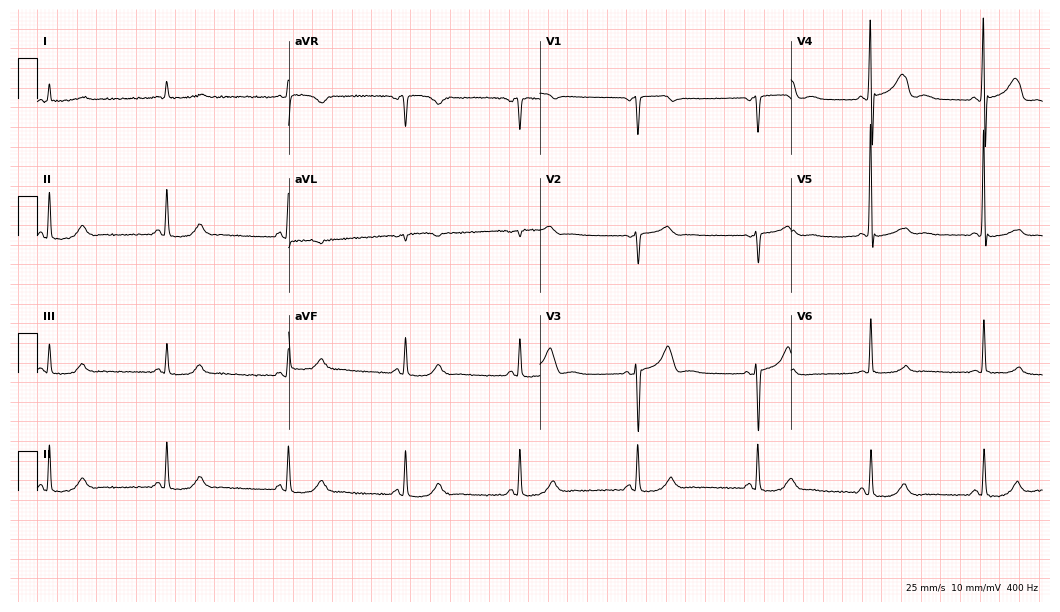
ECG (10.2-second recording at 400 Hz) — a male patient, 84 years old. Labelled as a normal ECG.